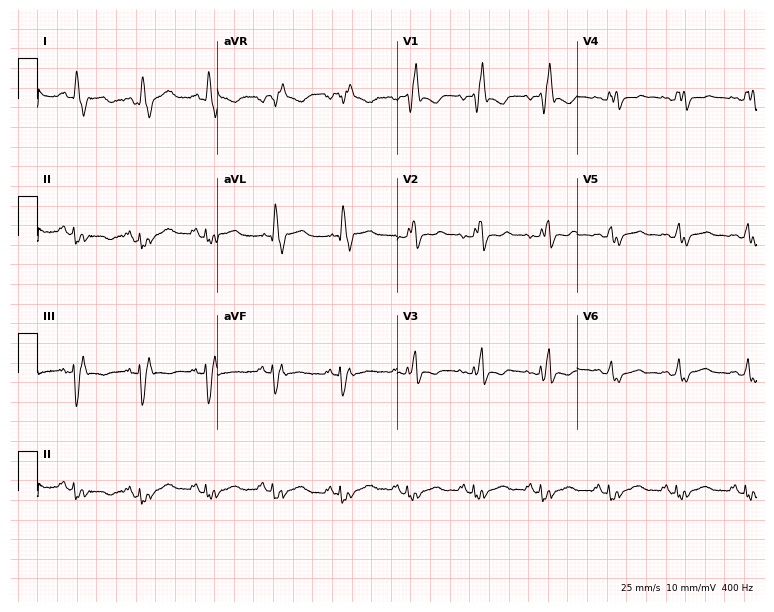
12-lead ECG (7.3-second recording at 400 Hz) from a woman, 32 years old. Findings include right bundle branch block.